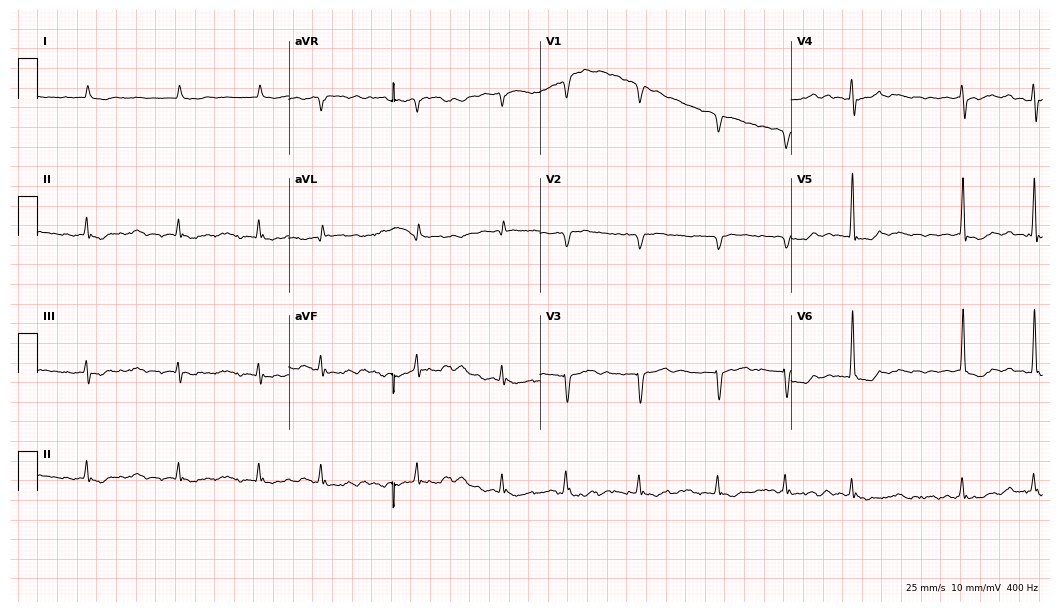
Standard 12-lead ECG recorded from an 84-year-old male patient (10.2-second recording at 400 Hz). The tracing shows atrial fibrillation.